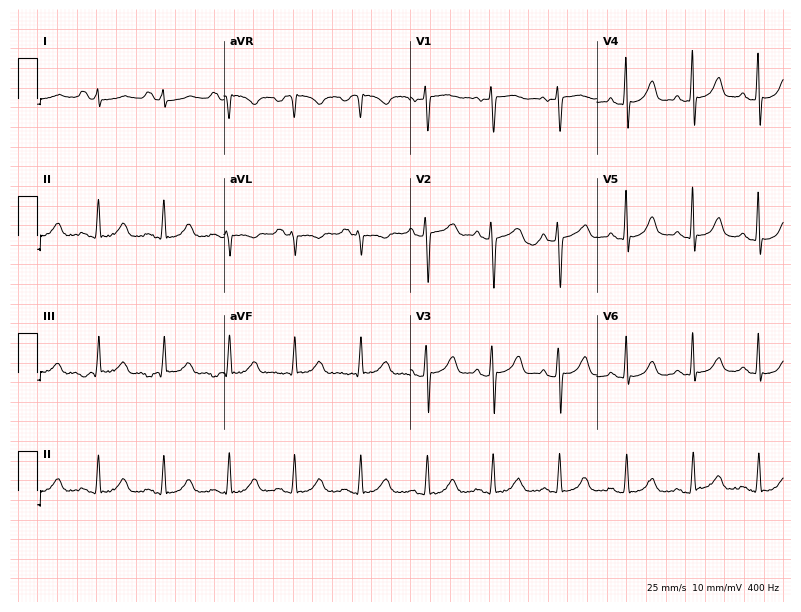
Electrocardiogram, a female patient, 21 years old. Overall reading on record: normal ECG.